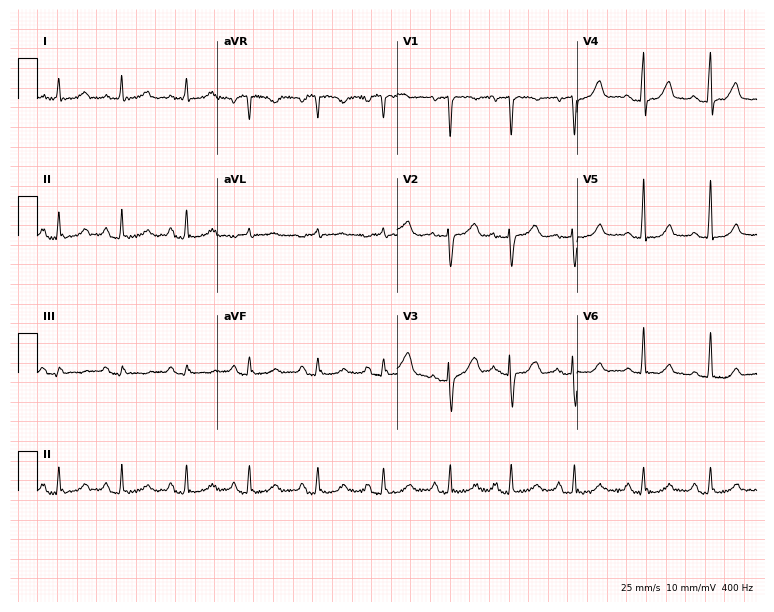
Electrocardiogram, a 64-year-old female patient. Of the six screened findings (first-degree AV block, right bundle branch block, left bundle branch block, sinus bradycardia, atrial fibrillation, sinus tachycardia), none is recorded.